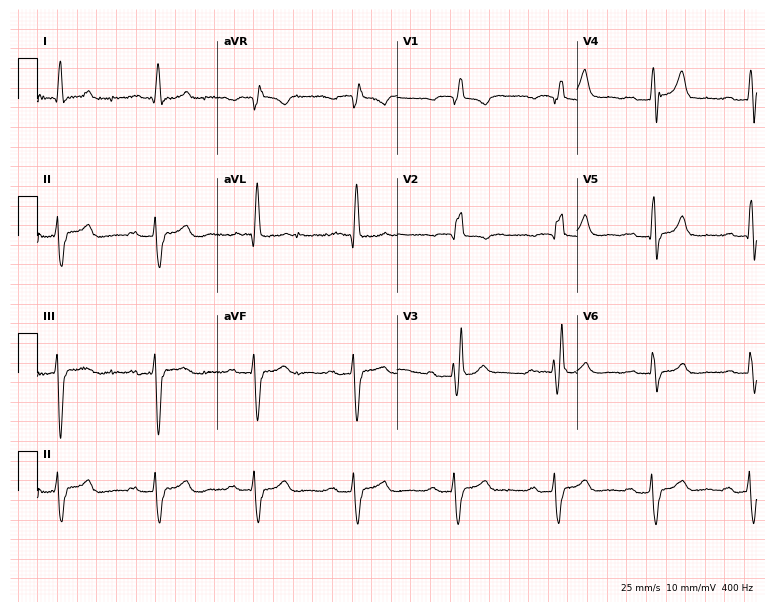
ECG — a male, 73 years old. Findings include right bundle branch block (RBBB).